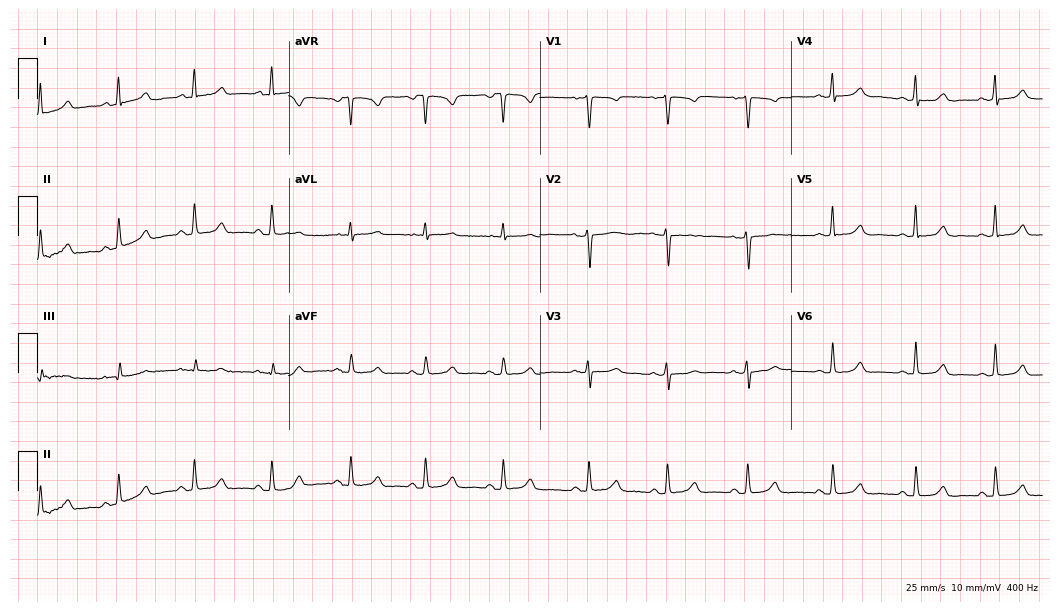
Resting 12-lead electrocardiogram (10.2-second recording at 400 Hz). Patient: a female, 39 years old. Read as a normal ECG.